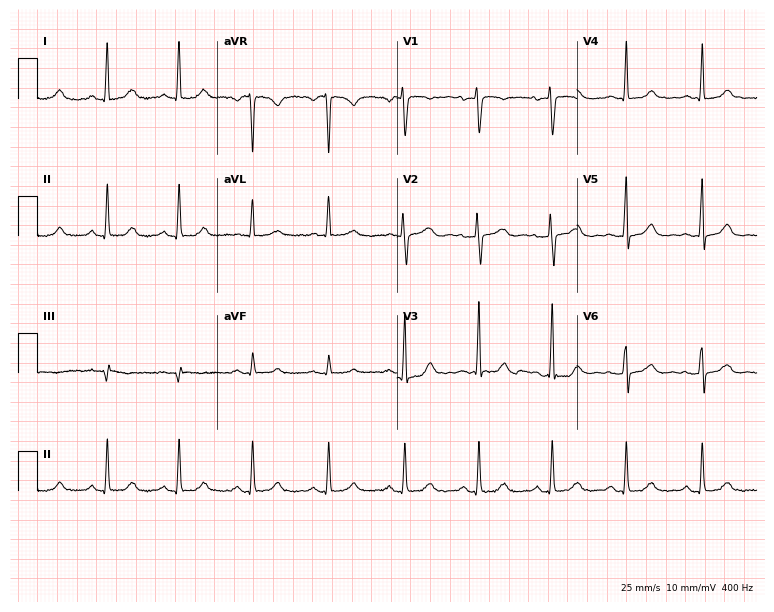
12-lead ECG (7.3-second recording at 400 Hz) from a female patient, 64 years old. Labelled as a normal ECG.